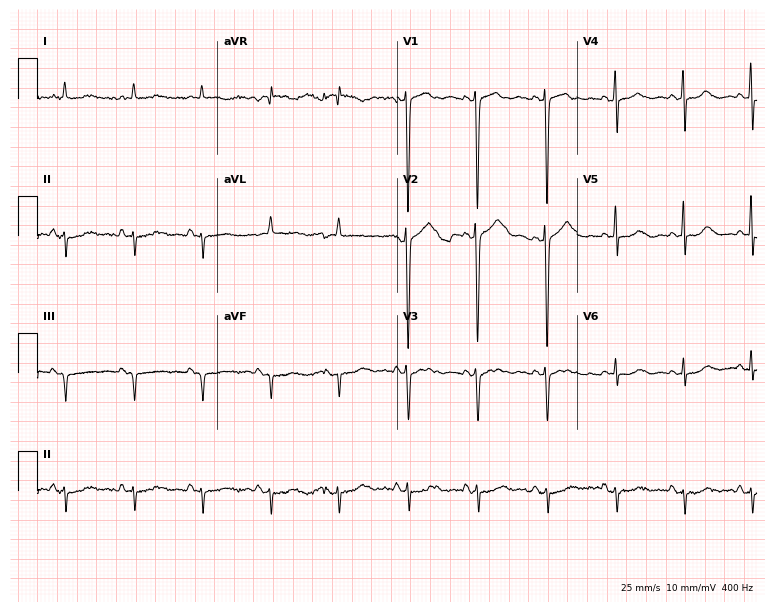
ECG — a 73-year-old female patient. Screened for six findings — first-degree AV block, right bundle branch block, left bundle branch block, sinus bradycardia, atrial fibrillation, sinus tachycardia — none is recorded. Findings outside these six are not listed.